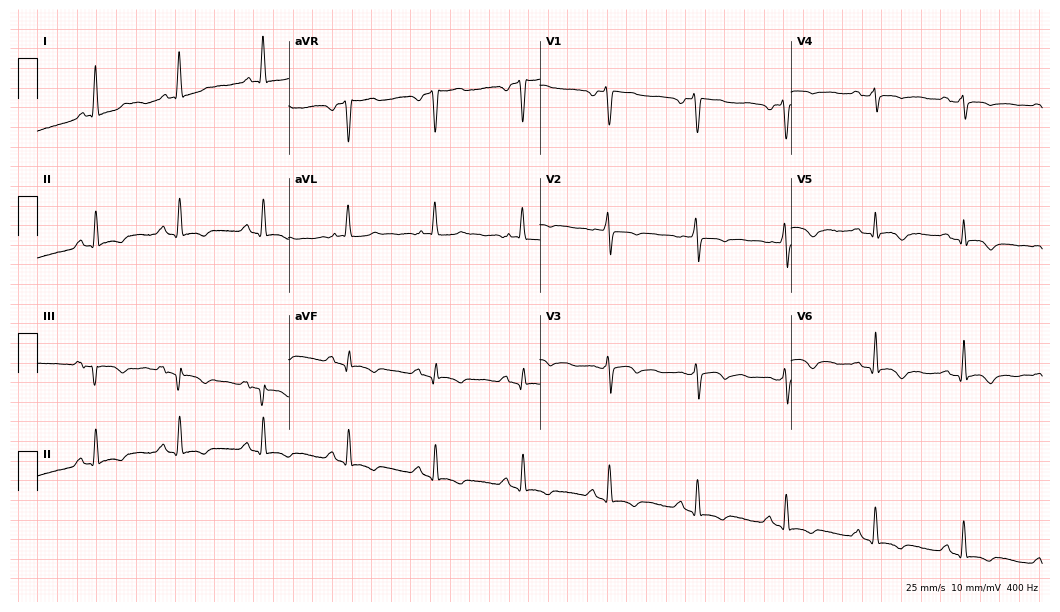
Resting 12-lead electrocardiogram (10.2-second recording at 400 Hz). Patient: a woman, 69 years old. None of these six findings is recorded: first-degree AV block, right bundle branch block, left bundle branch block, sinus bradycardia, atrial fibrillation, sinus tachycardia. Findings outside these six are not listed.